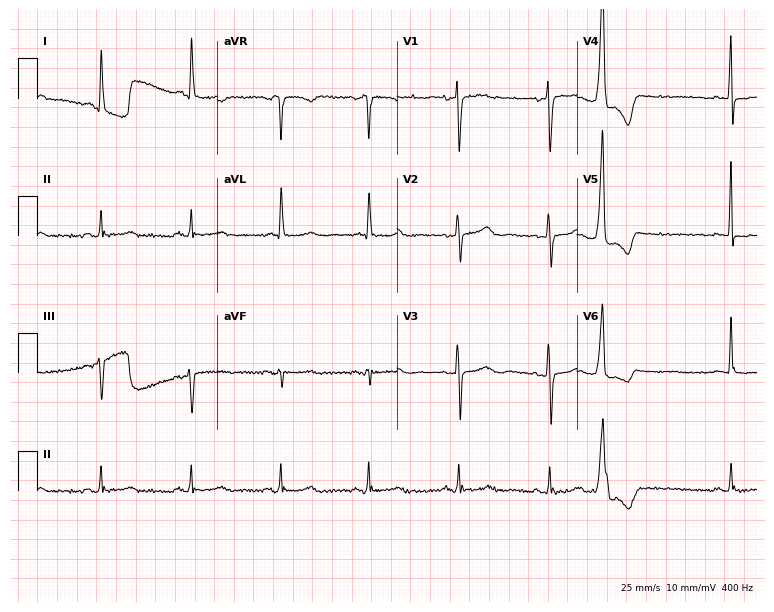
12-lead ECG from a woman, 73 years old. No first-degree AV block, right bundle branch block (RBBB), left bundle branch block (LBBB), sinus bradycardia, atrial fibrillation (AF) or sinus tachycardia recorded for this tracing. Only these six findings were labelled.